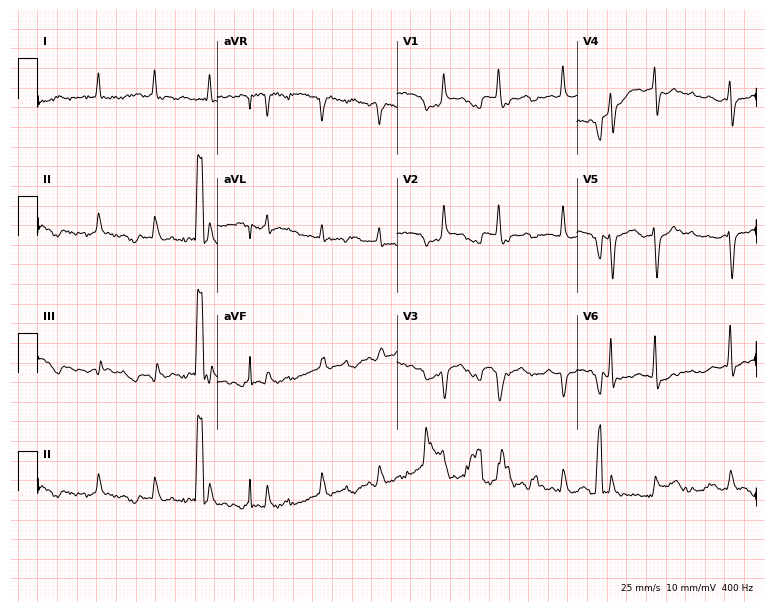
Electrocardiogram (7.3-second recording at 400 Hz), a 68-year-old female. Of the six screened findings (first-degree AV block, right bundle branch block, left bundle branch block, sinus bradycardia, atrial fibrillation, sinus tachycardia), none is recorded. Findings outside these six are not listed.